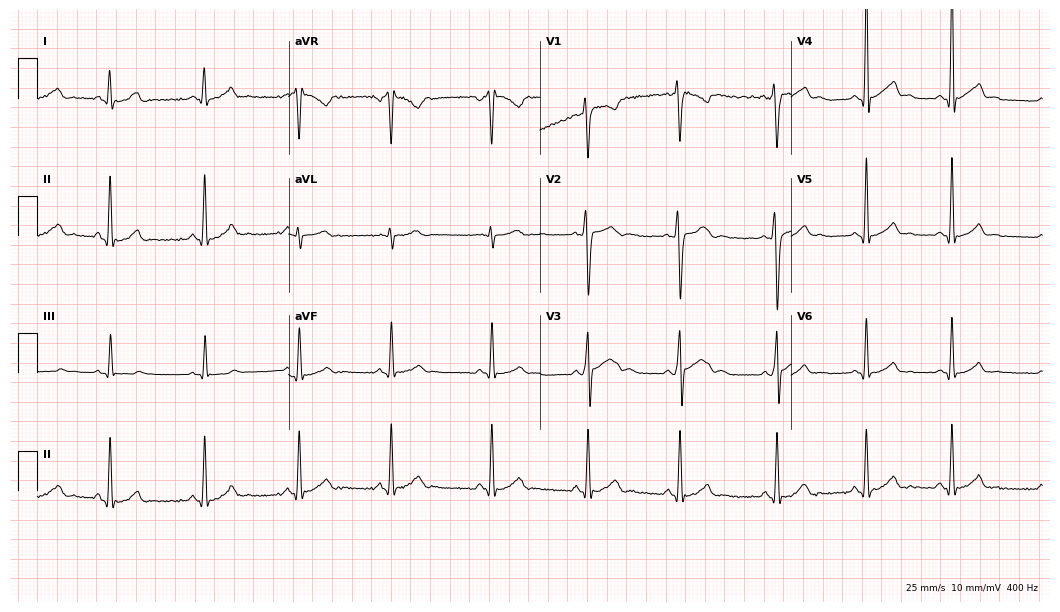
12-lead ECG from a man, 19 years old. Recorded interpretation: within normal limits.